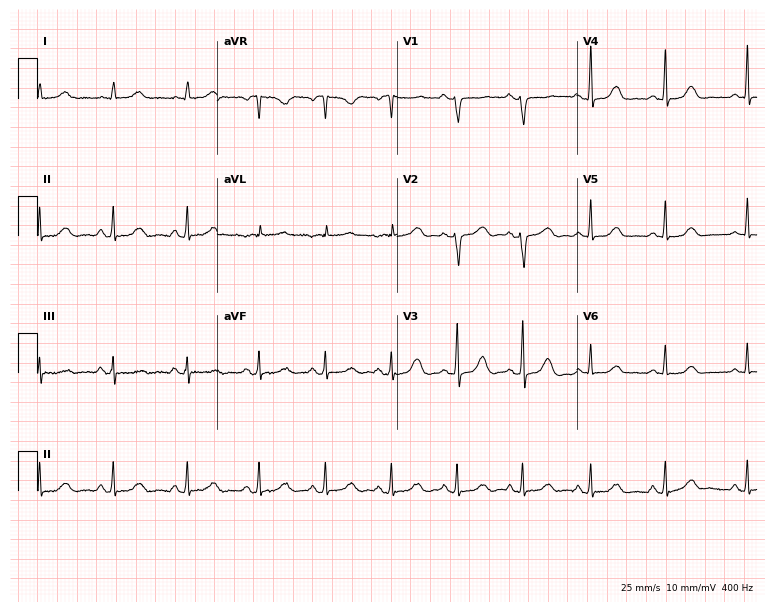
12-lead ECG (7.3-second recording at 400 Hz) from a female patient, 40 years old. Labelled as a normal ECG.